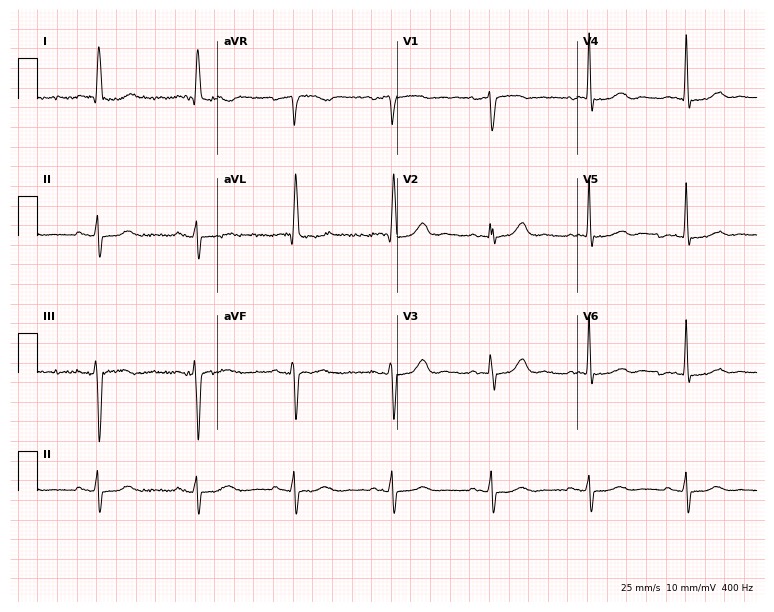
Standard 12-lead ECG recorded from a female, 79 years old. None of these six findings is recorded: first-degree AV block, right bundle branch block, left bundle branch block, sinus bradycardia, atrial fibrillation, sinus tachycardia. Findings outside these six are not listed.